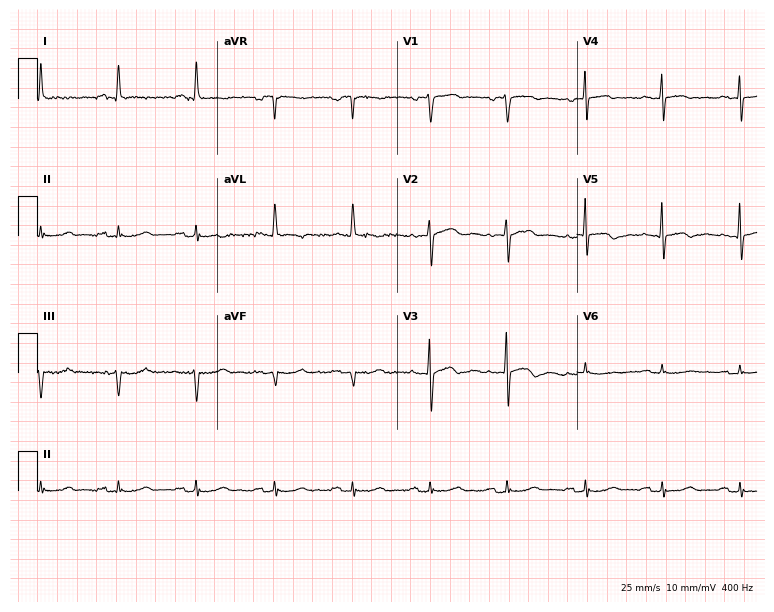
Resting 12-lead electrocardiogram (7.3-second recording at 400 Hz). Patient: a 68-year-old female. None of these six findings is recorded: first-degree AV block, right bundle branch block (RBBB), left bundle branch block (LBBB), sinus bradycardia, atrial fibrillation (AF), sinus tachycardia.